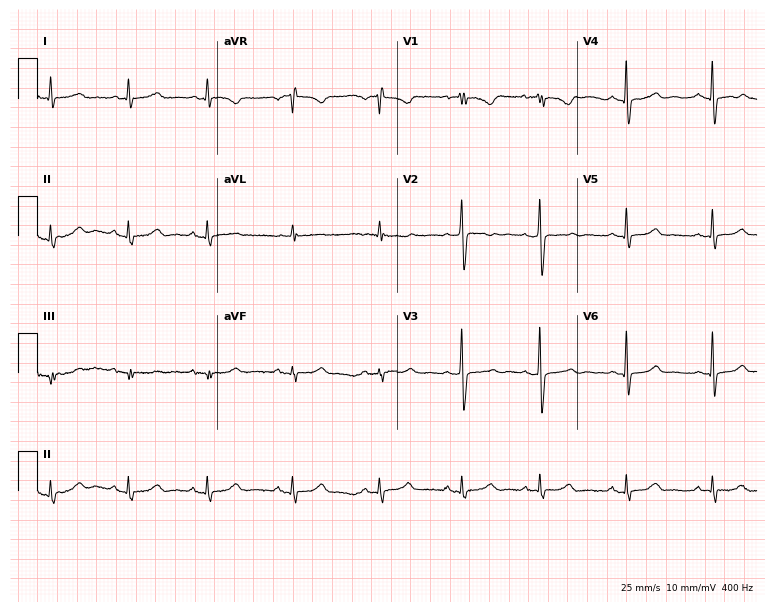
12-lead ECG (7.3-second recording at 400 Hz) from a female, 38 years old. Labelled as a normal ECG.